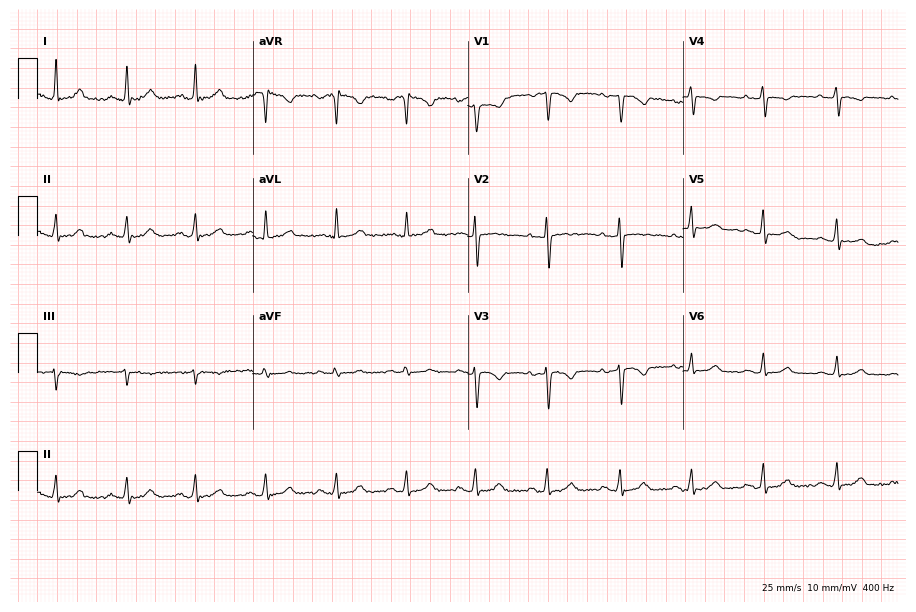
Standard 12-lead ECG recorded from a female patient, 45 years old (8.8-second recording at 400 Hz). None of these six findings is recorded: first-degree AV block, right bundle branch block (RBBB), left bundle branch block (LBBB), sinus bradycardia, atrial fibrillation (AF), sinus tachycardia.